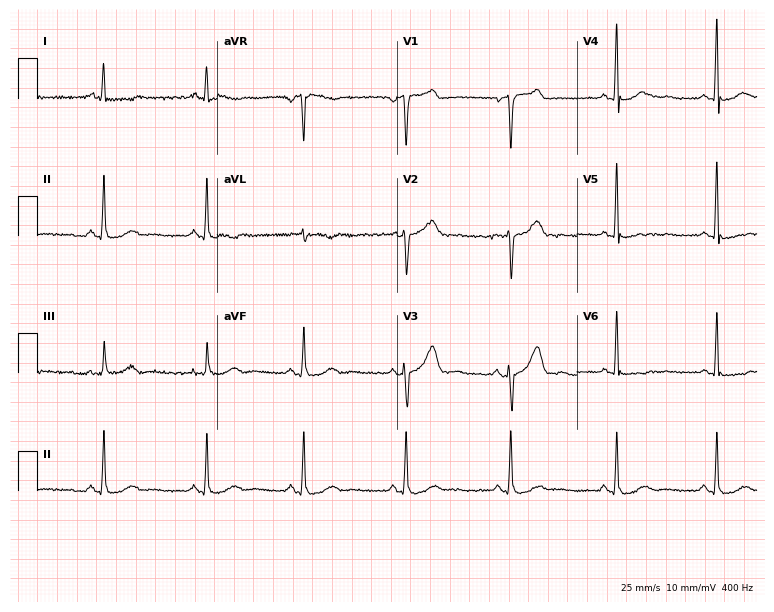
Electrocardiogram, a 48-year-old male. Of the six screened findings (first-degree AV block, right bundle branch block (RBBB), left bundle branch block (LBBB), sinus bradycardia, atrial fibrillation (AF), sinus tachycardia), none is recorded.